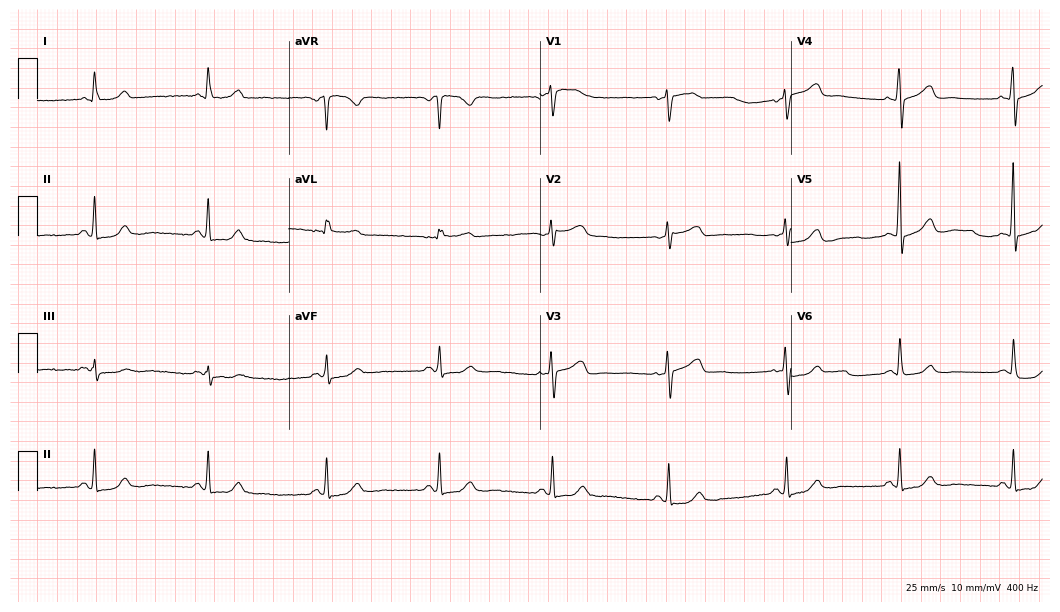
12-lead ECG from a female, 65 years old. Labelled as a normal ECG.